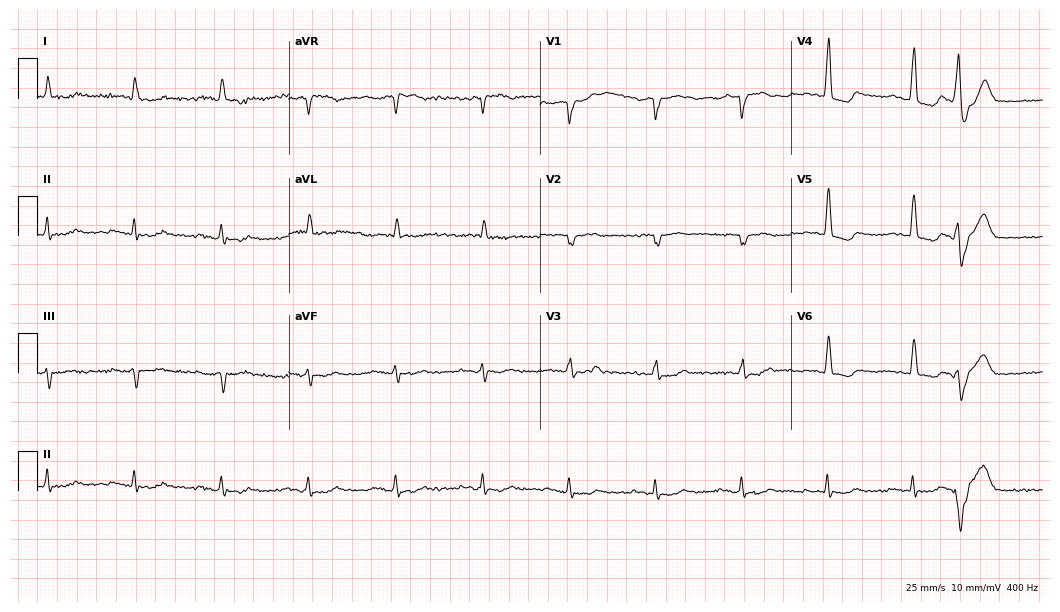
12-lead ECG (10.2-second recording at 400 Hz) from a 76-year-old man. Labelled as a normal ECG.